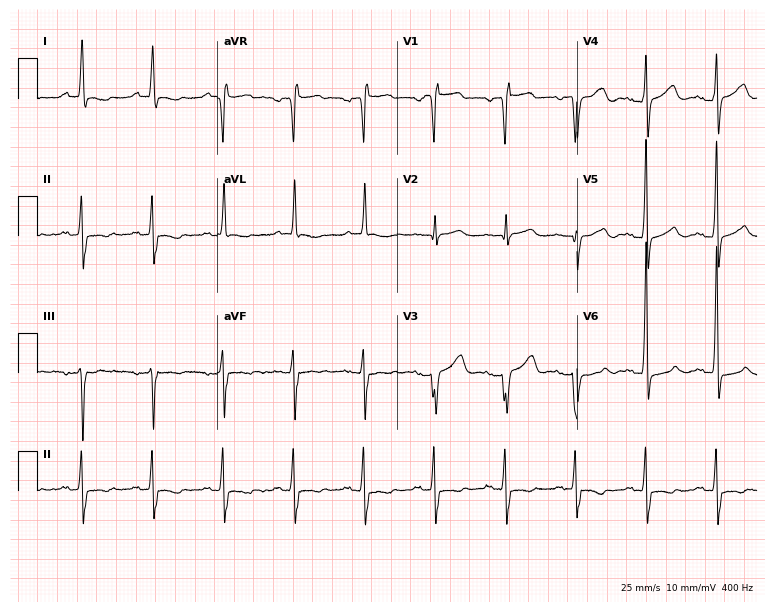
Resting 12-lead electrocardiogram. Patient: a female, 76 years old. None of these six findings is recorded: first-degree AV block, right bundle branch block, left bundle branch block, sinus bradycardia, atrial fibrillation, sinus tachycardia. Other findings, if any, are not listed.